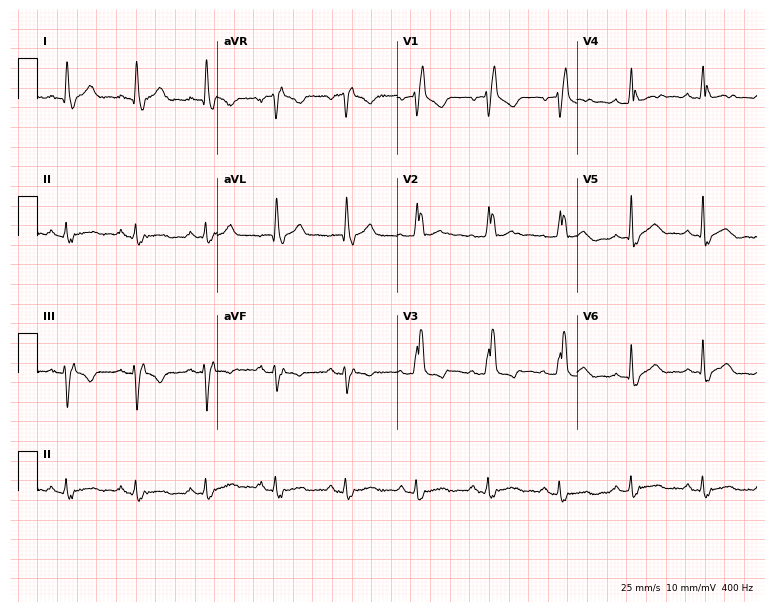
ECG — a man, 62 years old. Findings include right bundle branch block.